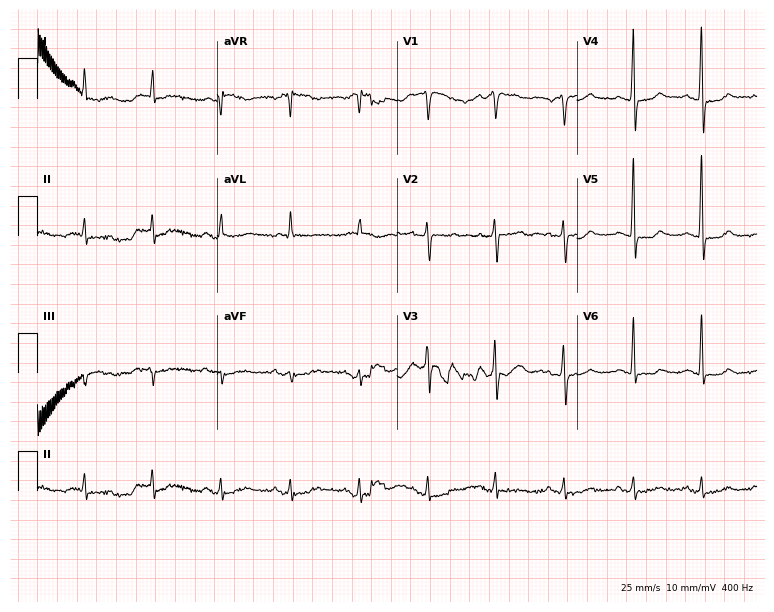
Electrocardiogram (7.3-second recording at 400 Hz), a man, 70 years old. Overall reading on record: normal ECG.